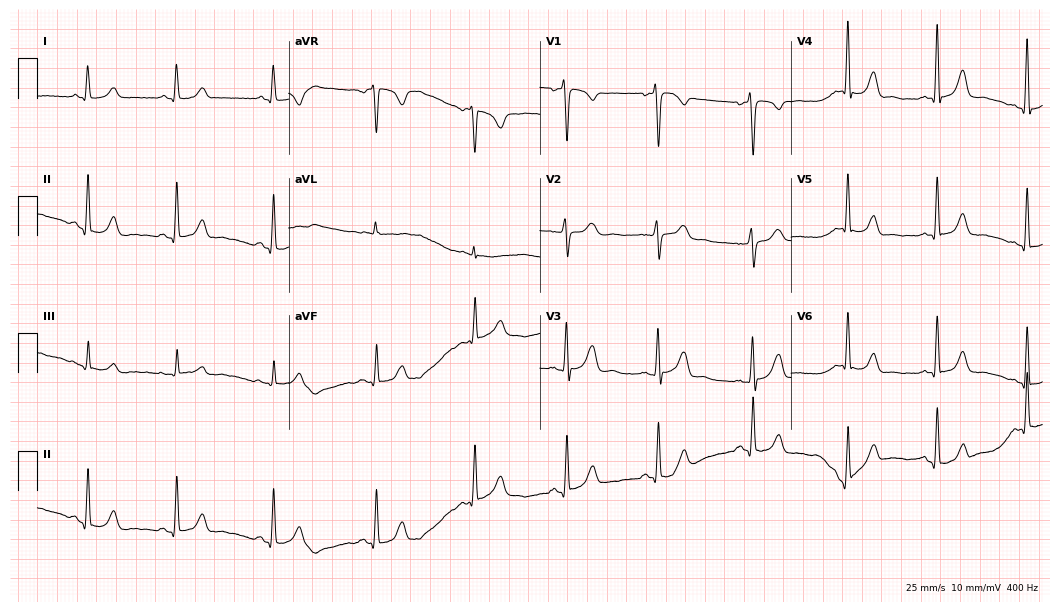
Resting 12-lead electrocardiogram (10.2-second recording at 400 Hz). Patient: a 28-year-old female. Read as a normal ECG.